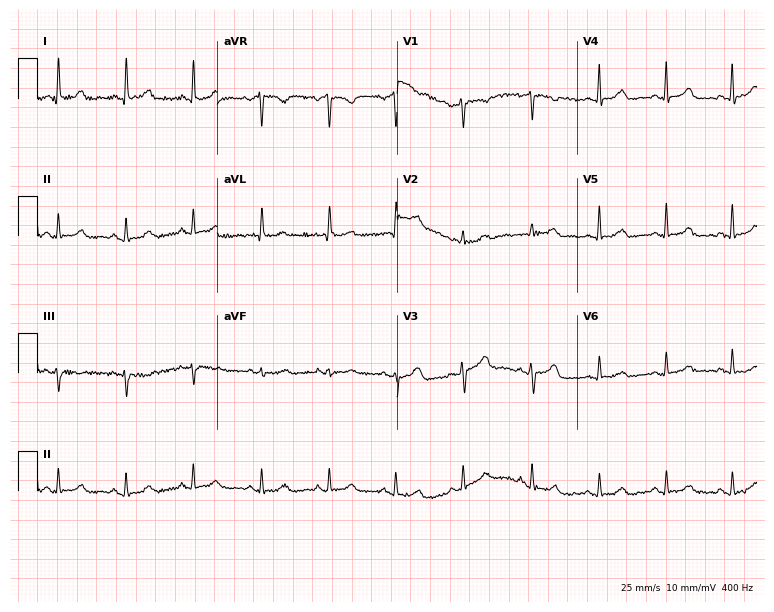
12-lead ECG from a female, 55 years old. Labelled as a normal ECG.